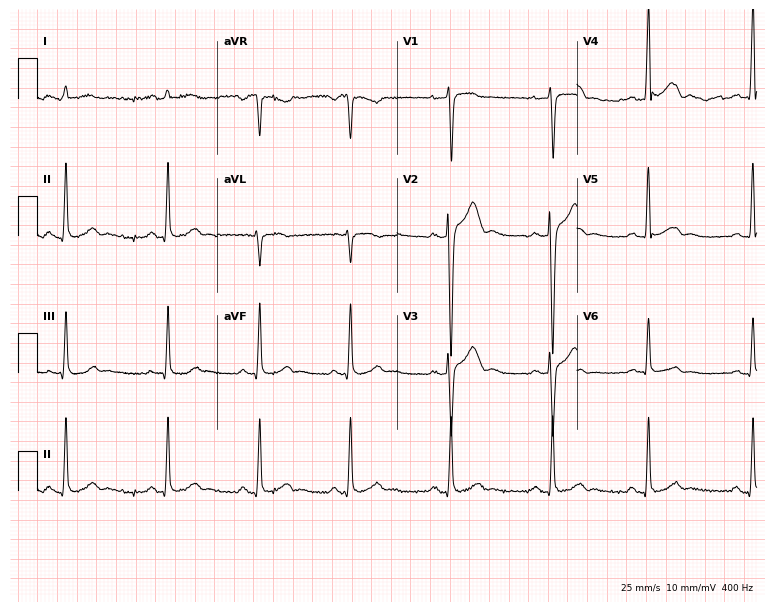
Electrocardiogram (7.3-second recording at 400 Hz), a man, 24 years old. Of the six screened findings (first-degree AV block, right bundle branch block, left bundle branch block, sinus bradycardia, atrial fibrillation, sinus tachycardia), none is recorded. Other findings, if any, are not listed.